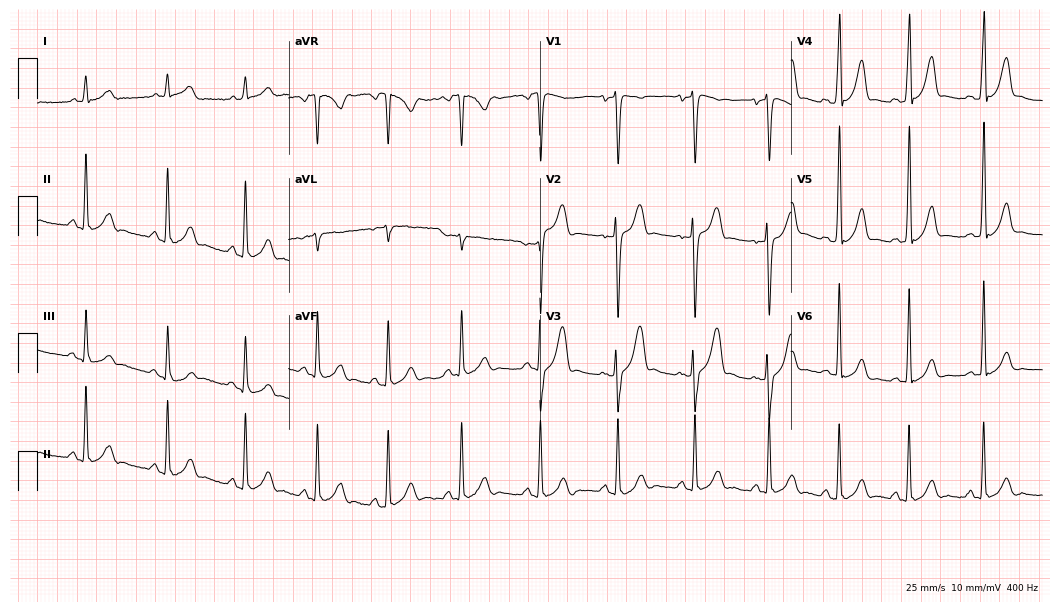
Electrocardiogram (10.2-second recording at 400 Hz), a 24-year-old male. Overall reading on record: normal ECG.